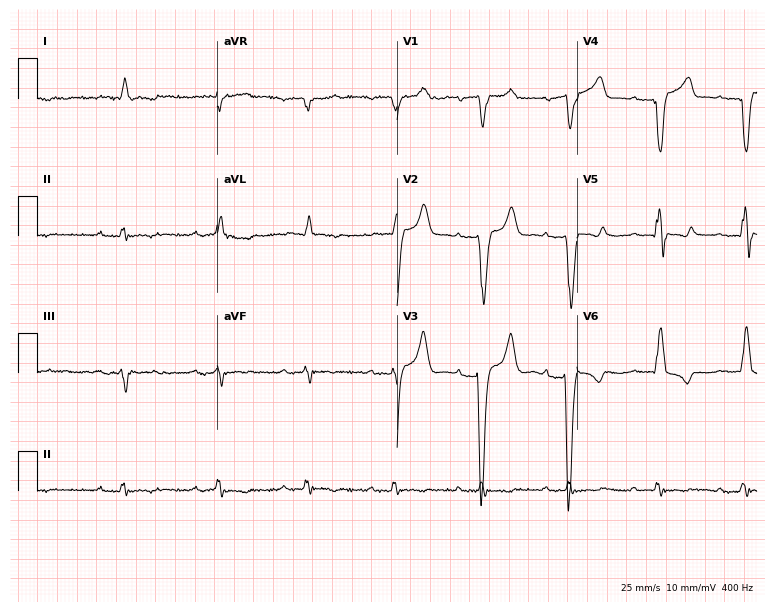
Resting 12-lead electrocardiogram. Patient: a female, 72 years old. The tracing shows left bundle branch block.